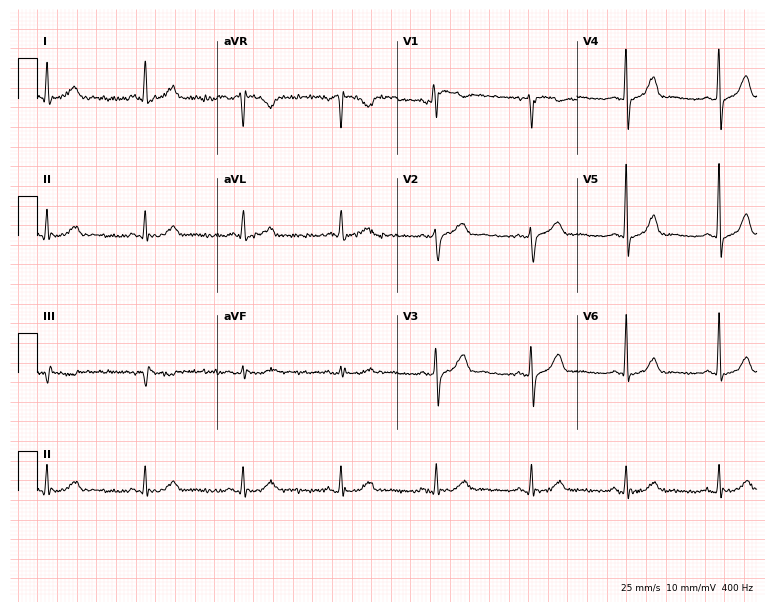
Standard 12-lead ECG recorded from a 57-year-old female patient. None of these six findings is recorded: first-degree AV block, right bundle branch block (RBBB), left bundle branch block (LBBB), sinus bradycardia, atrial fibrillation (AF), sinus tachycardia. Findings outside these six are not listed.